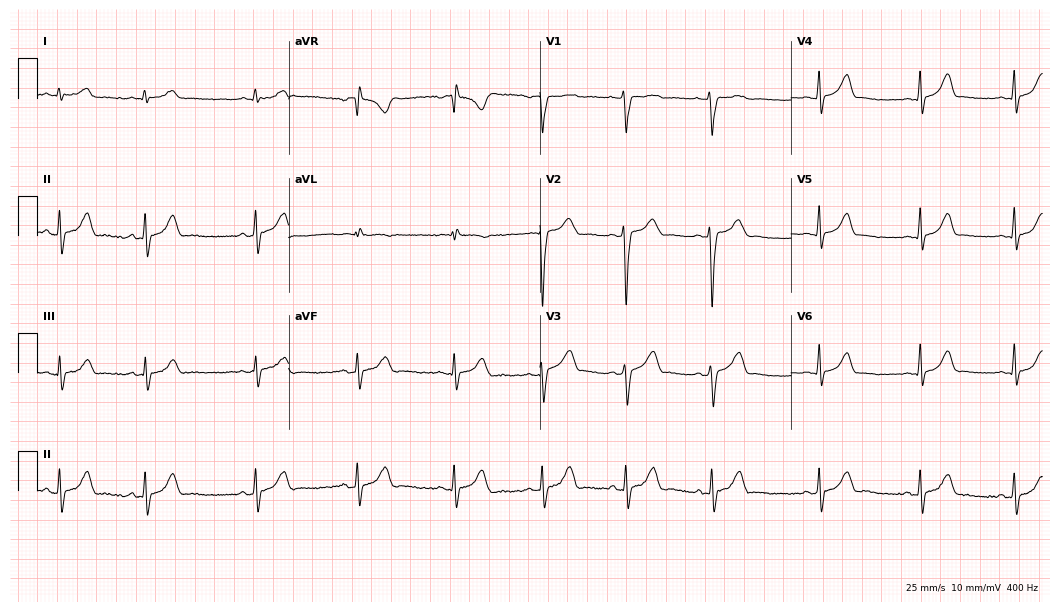
12-lead ECG (10.2-second recording at 400 Hz) from a female patient, 24 years old. Labelled as a normal ECG.